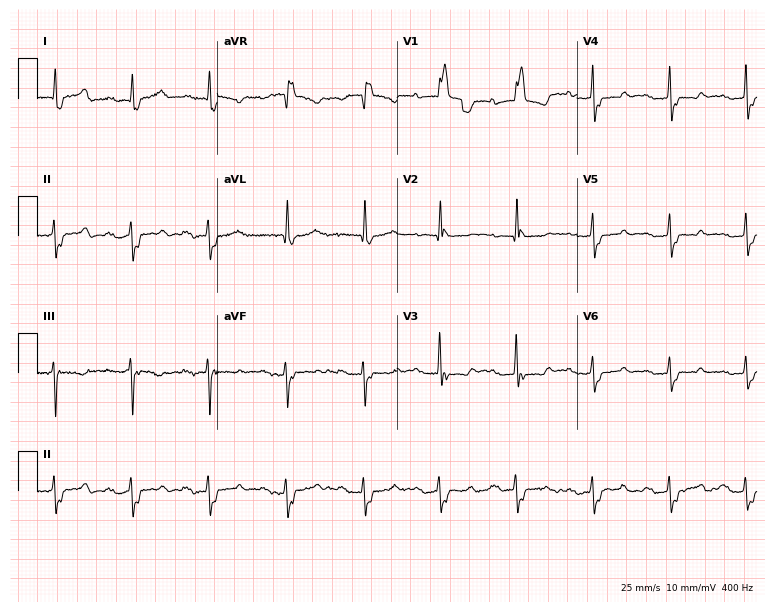
12-lead ECG from a female patient, 71 years old (7.3-second recording at 400 Hz). Shows first-degree AV block, right bundle branch block (RBBB).